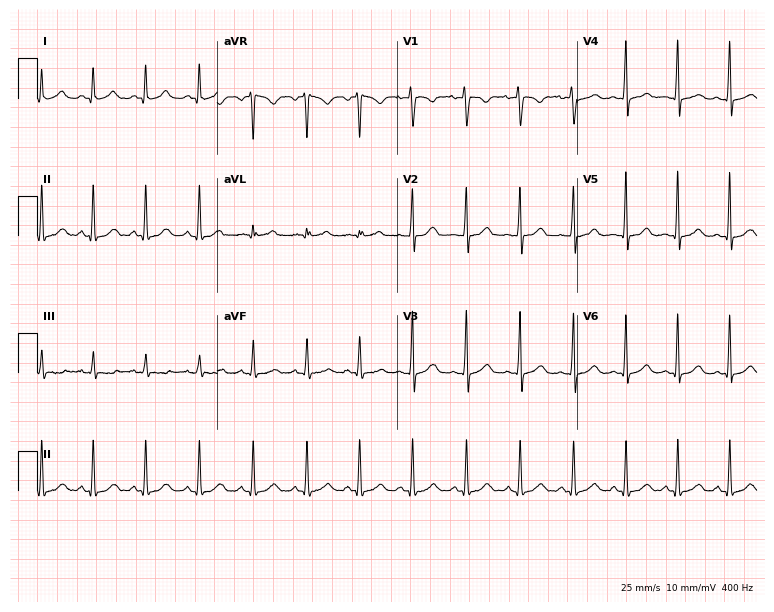
12-lead ECG from a female, 22 years old. Shows sinus tachycardia (a sinus rate of 100 beats per minute or more).